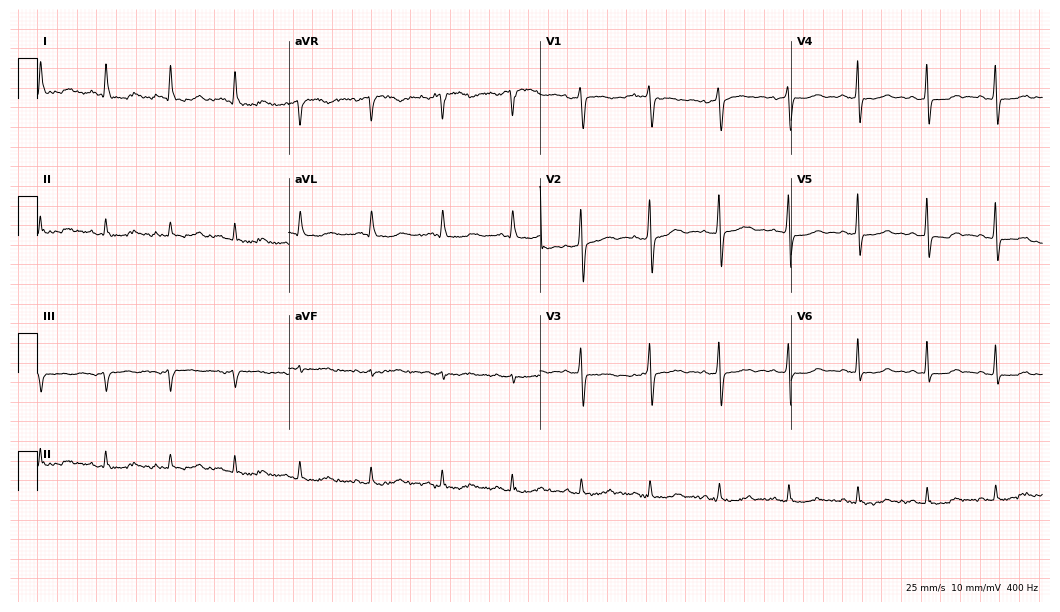
ECG — a female, 76 years old. Screened for six findings — first-degree AV block, right bundle branch block, left bundle branch block, sinus bradycardia, atrial fibrillation, sinus tachycardia — none is recorded. Only these six findings were labelled.